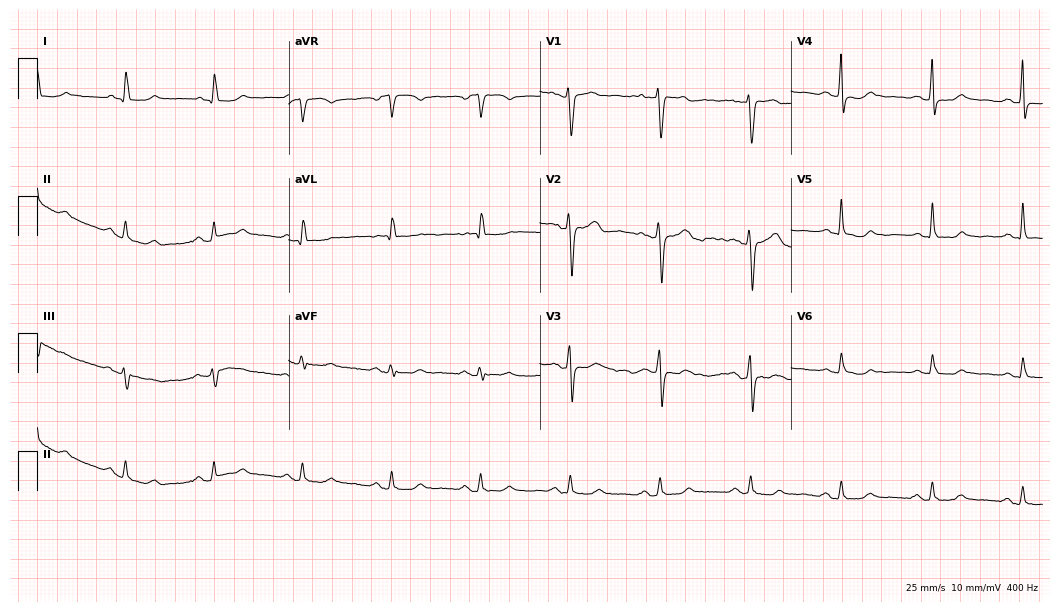
ECG — a 73-year-old female patient. Labelled as a normal ECG.